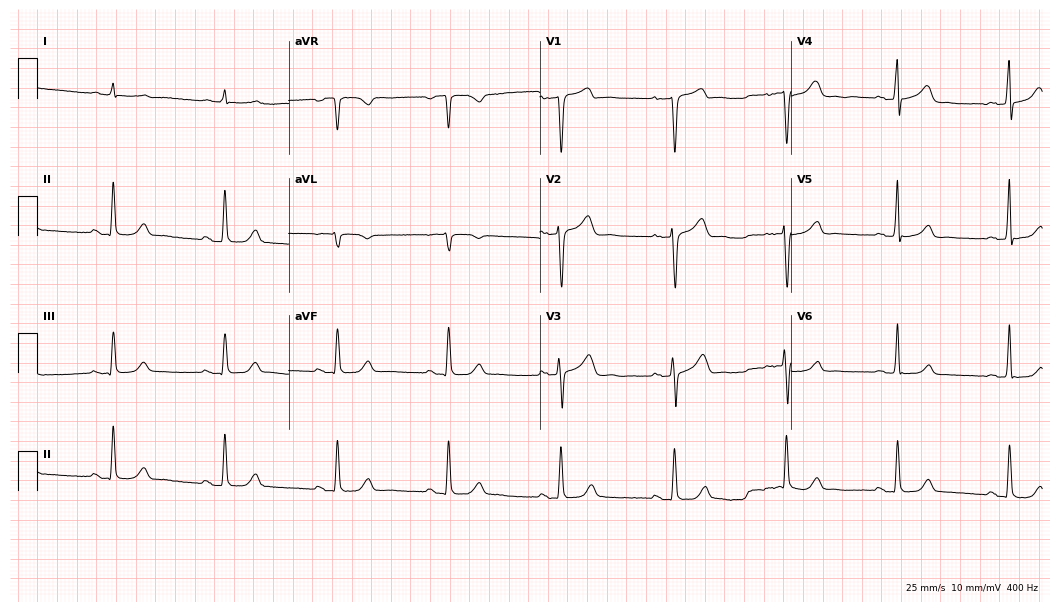
Standard 12-lead ECG recorded from a 73-year-old male (10.2-second recording at 400 Hz). Read as a normal ECG.